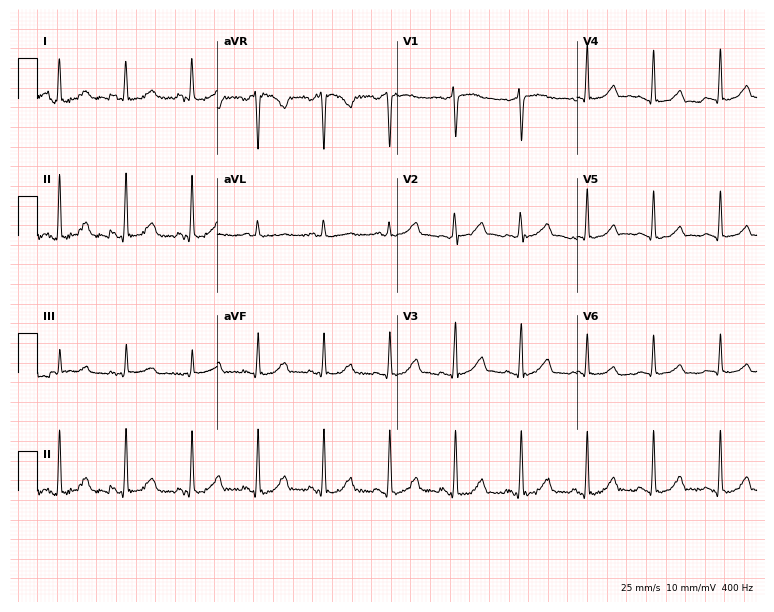
Resting 12-lead electrocardiogram. Patient: a 54-year-old woman. Read as a normal ECG.